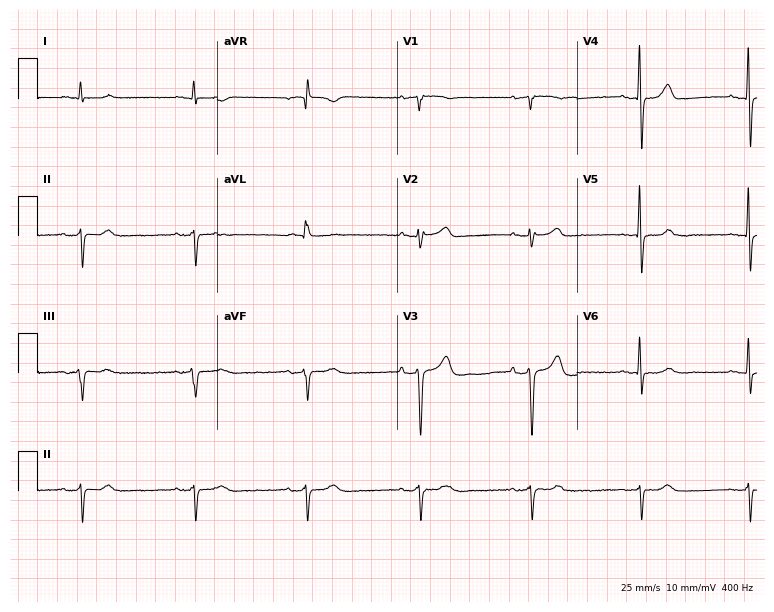
Electrocardiogram, a 76-year-old man. Of the six screened findings (first-degree AV block, right bundle branch block, left bundle branch block, sinus bradycardia, atrial fibrillation, sinus tachycardia), none is recorded. Only these six findings were labelled.